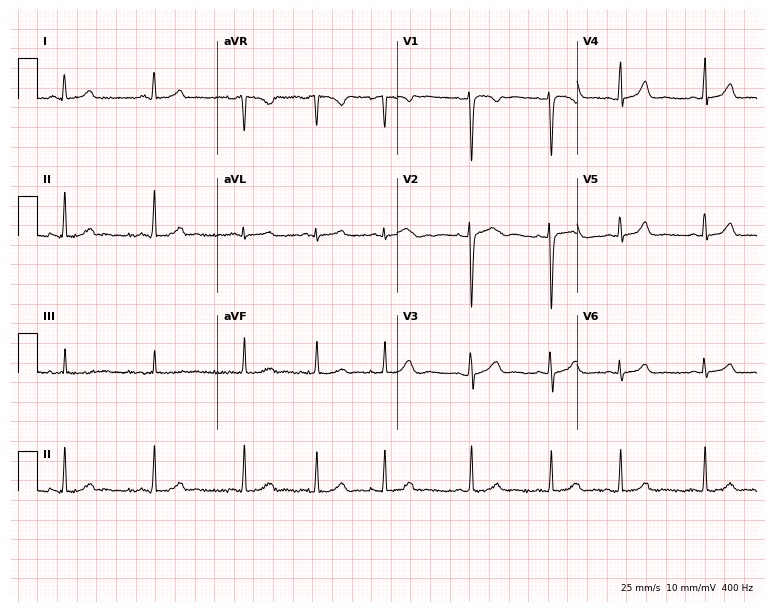
12-lead ECG from a woman, 18 years old (7.3-second recording at 400 Hz). Recorded interpretation: within normal limits.